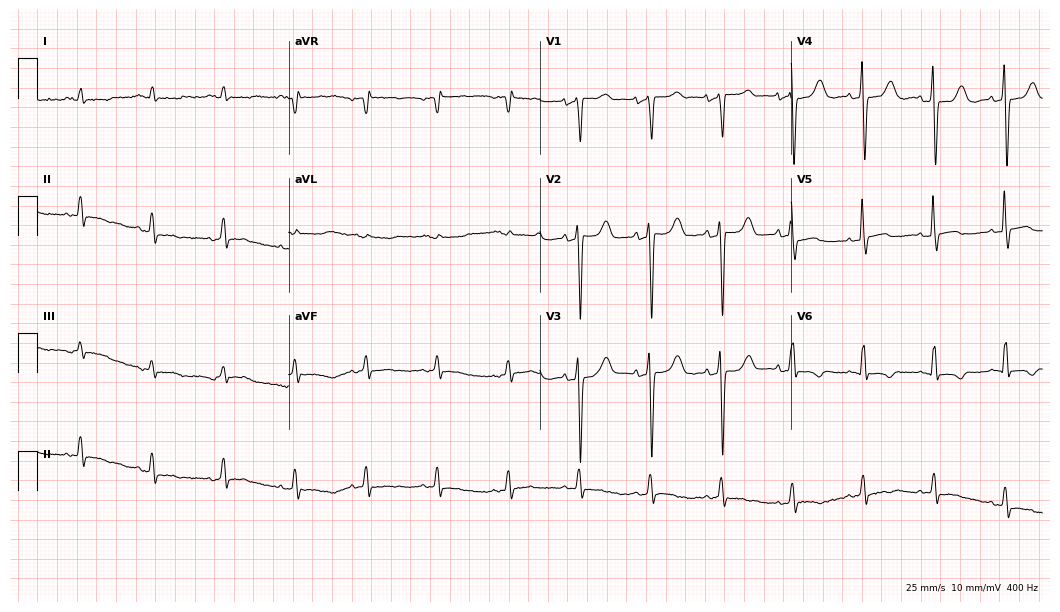
12-lead ECG from a female patient, 84 years old. No first-degree AV block, right bundle branch block, left bundle branch block, sinus bradycardia, atrial fibrillation or sinus tachycardia recorded for this tracing. Other findings, if any, are not listed.